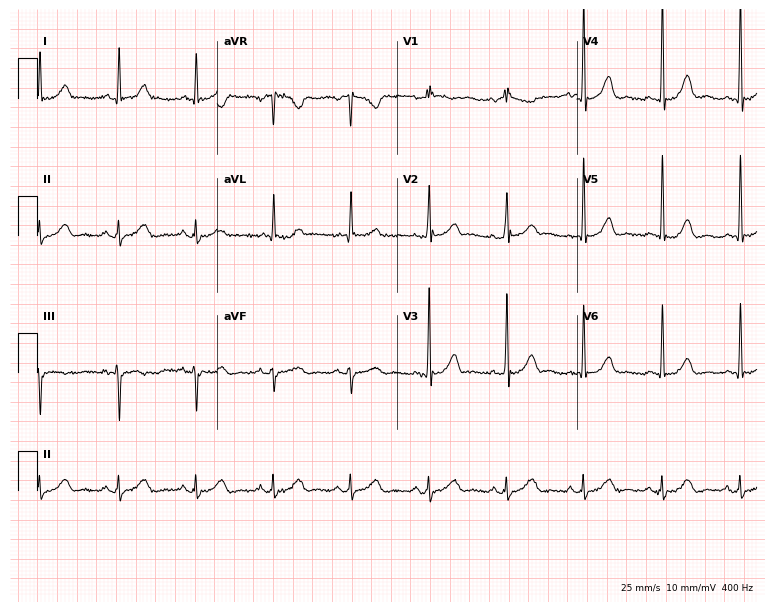
ECG (7.3-second recording at 400 Hz) — a female patient, 85 years old. Screened for six findings — first-degree AV block, right bundle branch block, left bundle branch block, sinus bradycardia, atrial fibrillation, sinus tachycardia — none is recorded. Only these six findings were labelled.